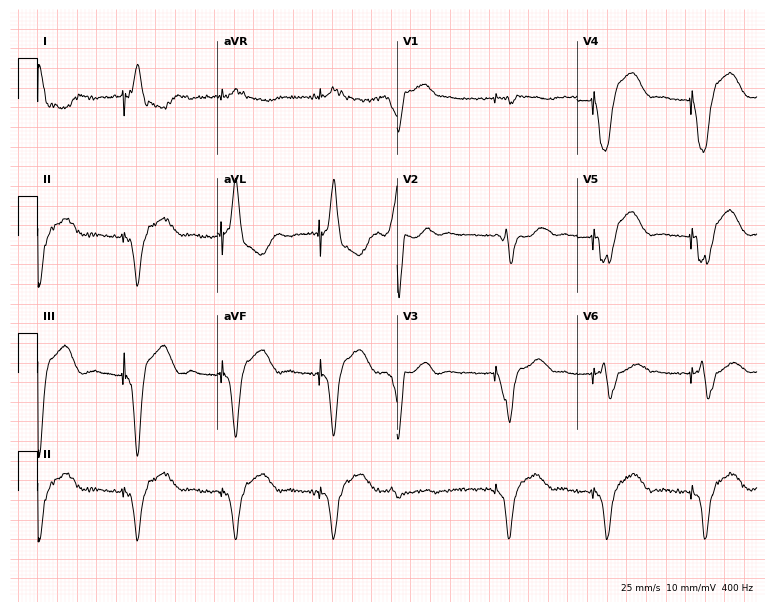
Resting 12-lead electrocardiogram. Patient: a female, 74 years old. None of these six findings is recorded: first-degree AV block, right bundle branch block, left bundle branch block, sinus bradycardia, atrial fibrillation, sinus tachycardia. Only these six findings were labelled.